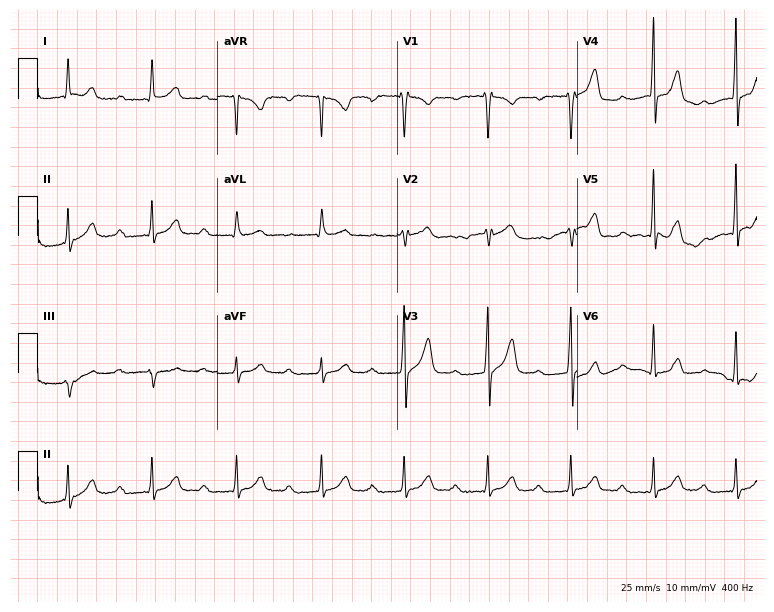
12-lead ECG (7.3-second recording at 400 Hz) from a man, 45 years old. Findings include first-degree AV block.